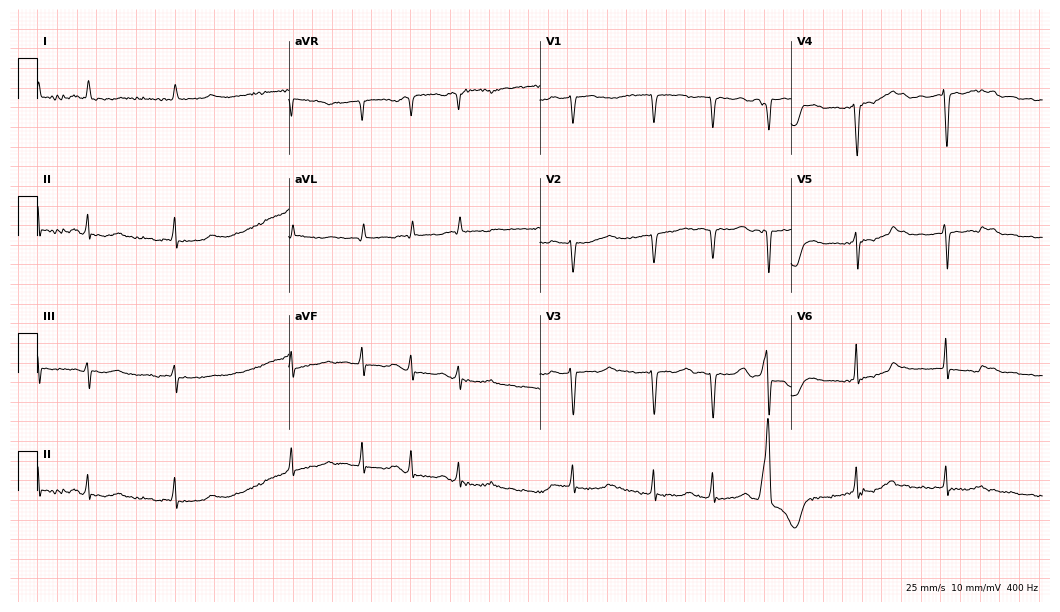
Standard 12-lead ECG recorded from a 73-year-old female. The tracing shows atrial fibrillation (AF).